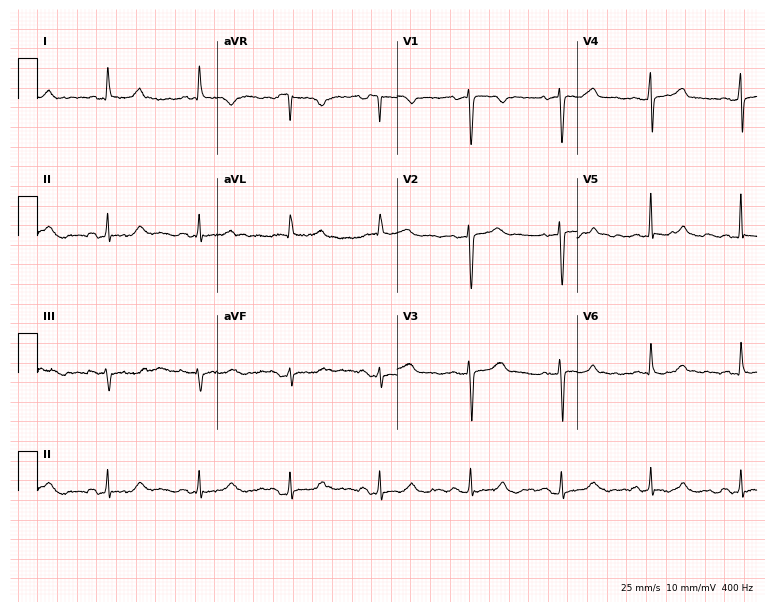
Electrocardiogram (7.3-second recording at 400 Hz), a female, 62 years old. Of the six screened findings (first-degree AV block, right bundle branch block, left bundle branch block, sinus bradycardia, atrial fibrillation, sinus tachycardia), none is recorded.